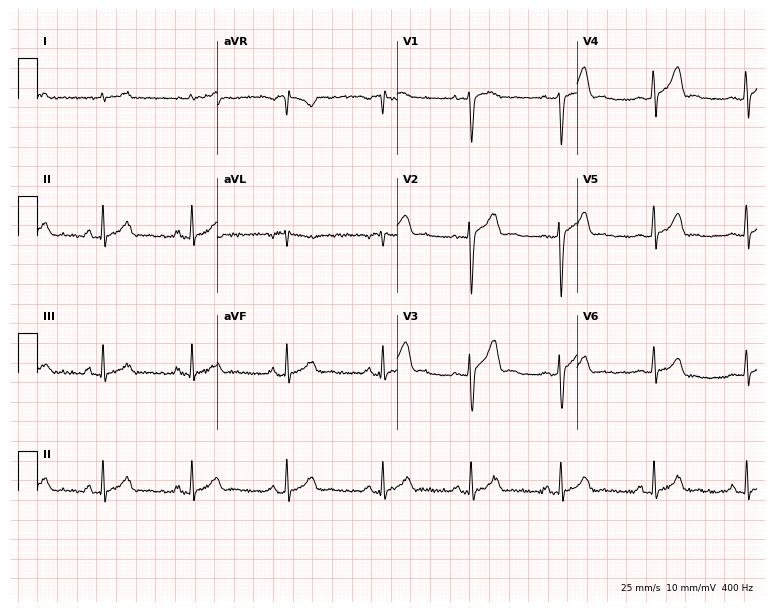
12-lead ECG from a 25-year-old male. Labelled as a normal ECG.